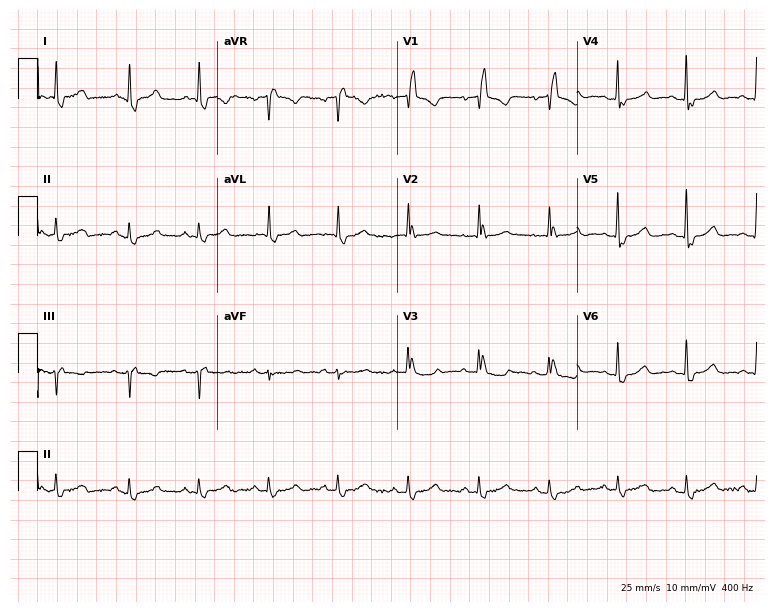
ECG — a female patient, 80 years old. Findings include right bundle branch block (RBBB).